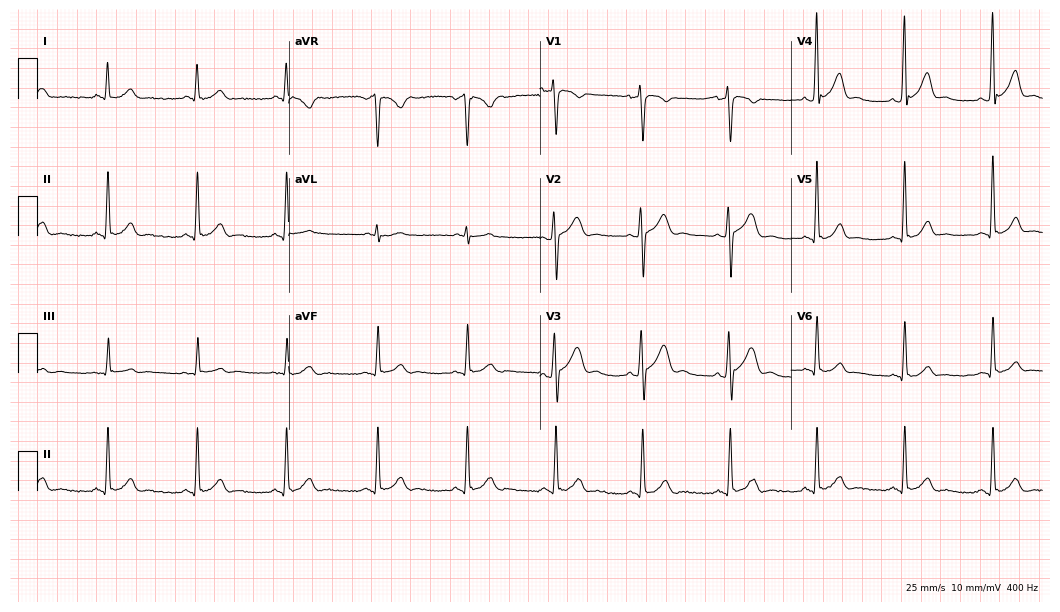
Electrocardiogram, a male patient, 35 years old. Overall reading on record: normal ECG.